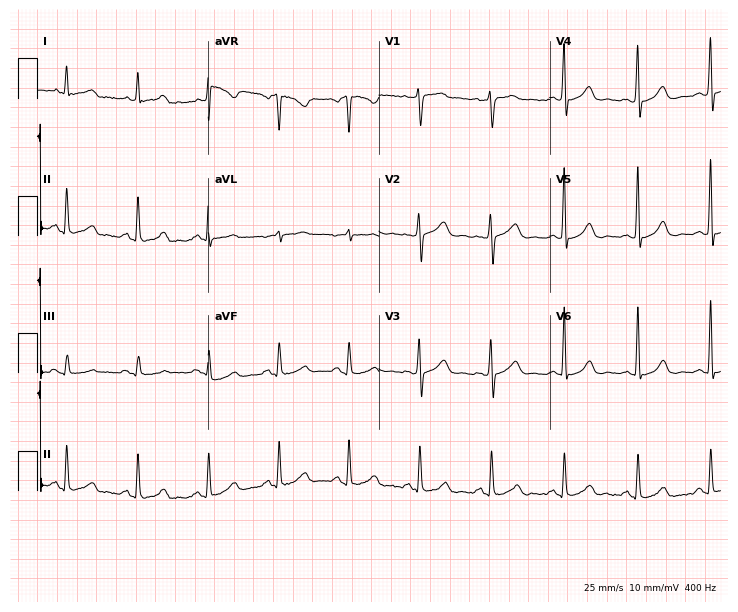
12-lead ECG from a 37-year-old man (7-second recording at 400 Hz). No first-degree AV block, right bundle branch block, left bundle branch block, sinus bradycardia, atrial fibrillation or sinus tachycardia recorded for this tracing. Other findings, if any, are not listed.